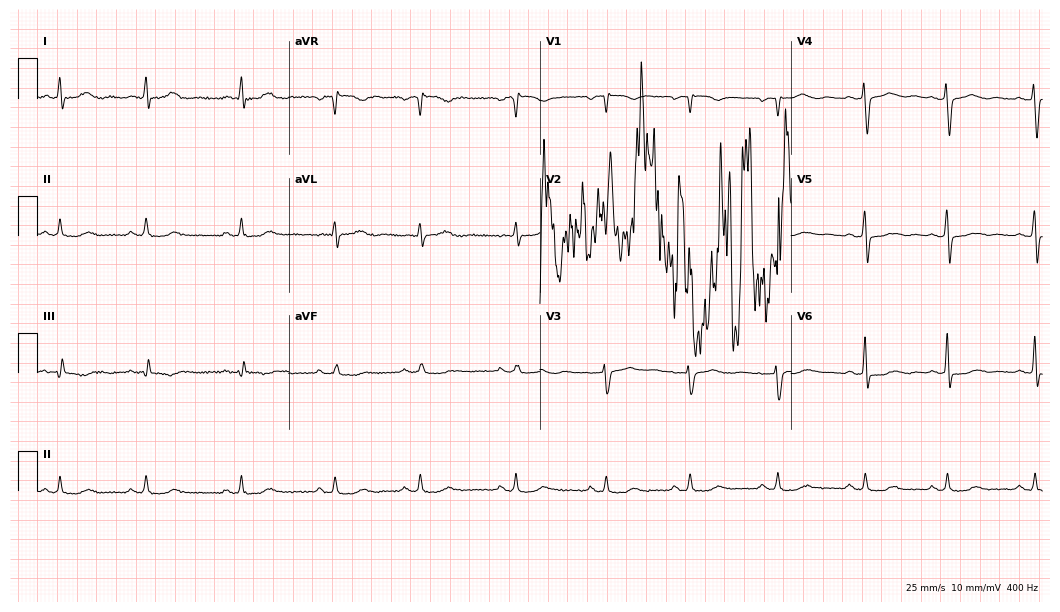
12-lead ECG from a 53-year-old woman. No first-degree AV block, right bundle branch block, left bundle branch block, sinus bradycardia, atrial fibrillation or sinus tachycardia recorded for this tracing.